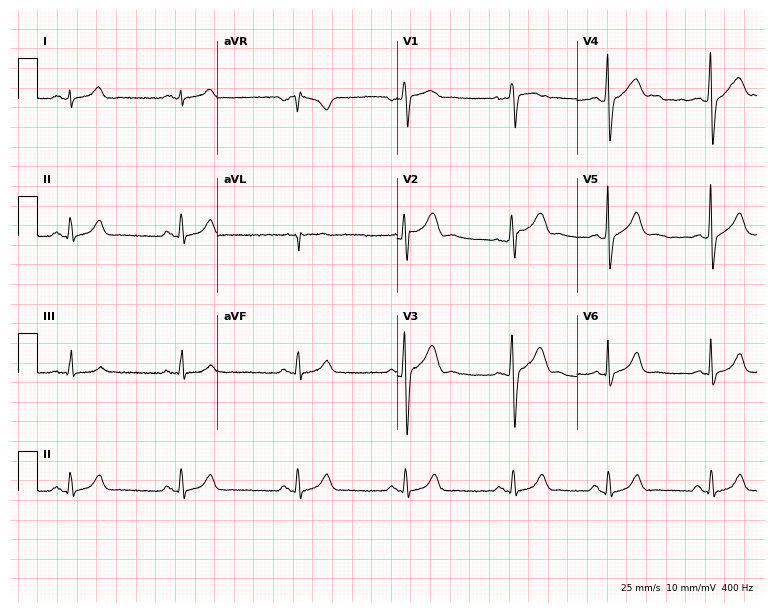
12-lead ECG from a male patient, 27 years old. Labelled as a normal ECG.